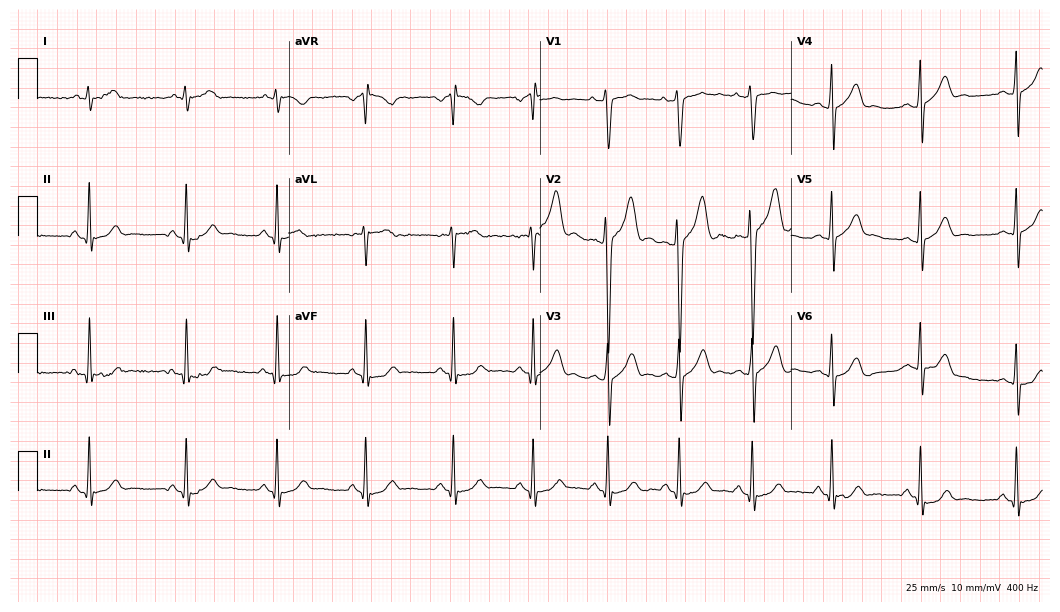
Standard 12-lead ECG recorded from a woman, 38 years old (10.2-second recording at 400 Hz). Read as a normal ECG.